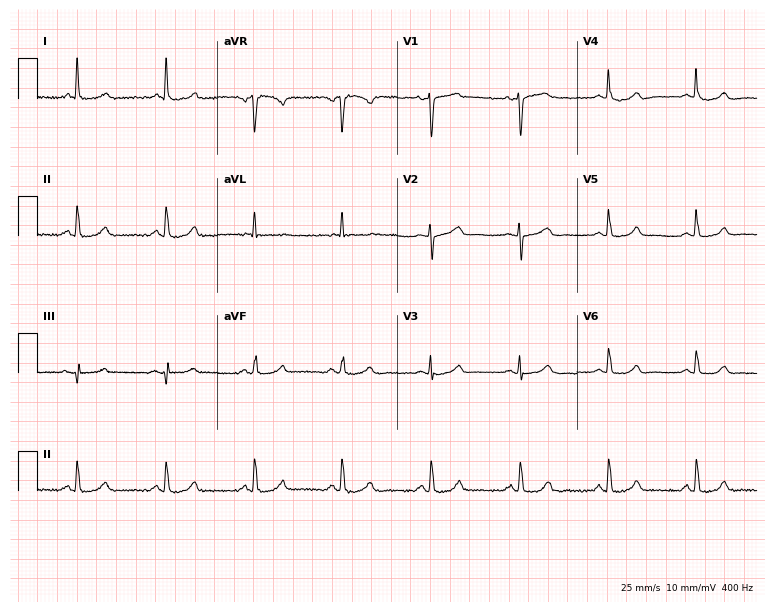
12-lead ECG from a 72-year-old woman. Screened for six findings — first-degree AV block, right bundle branch block, left bundle branch block, sinus bradycardia, atrial fibrillation, sinus tachycardia — none is recorded.